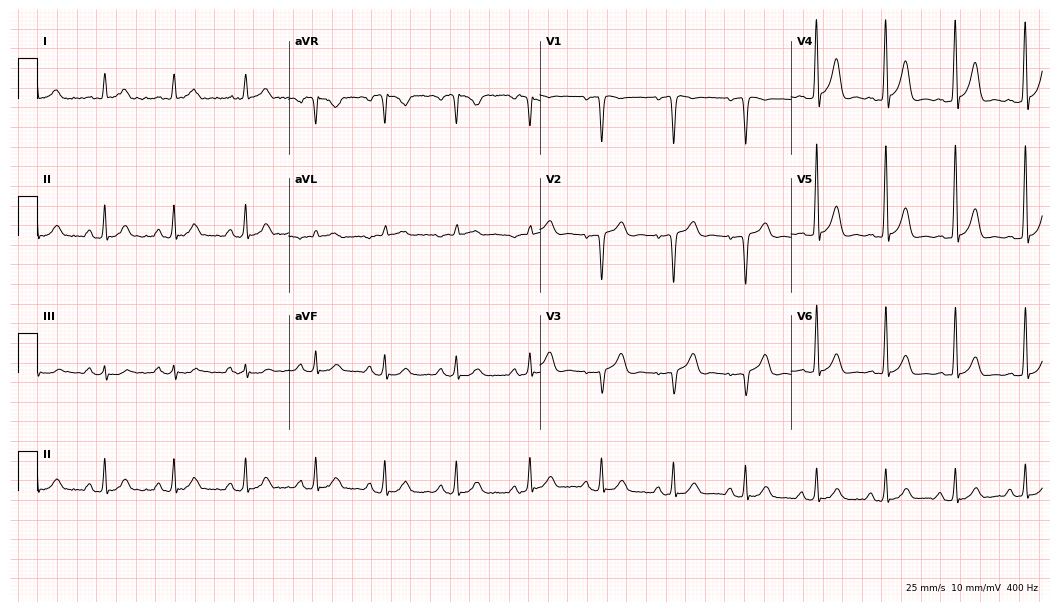
12-lead ECG from a man, 55 years old (10.2-second recording at 400 Hz). Recorded interpretation: within normal limits.